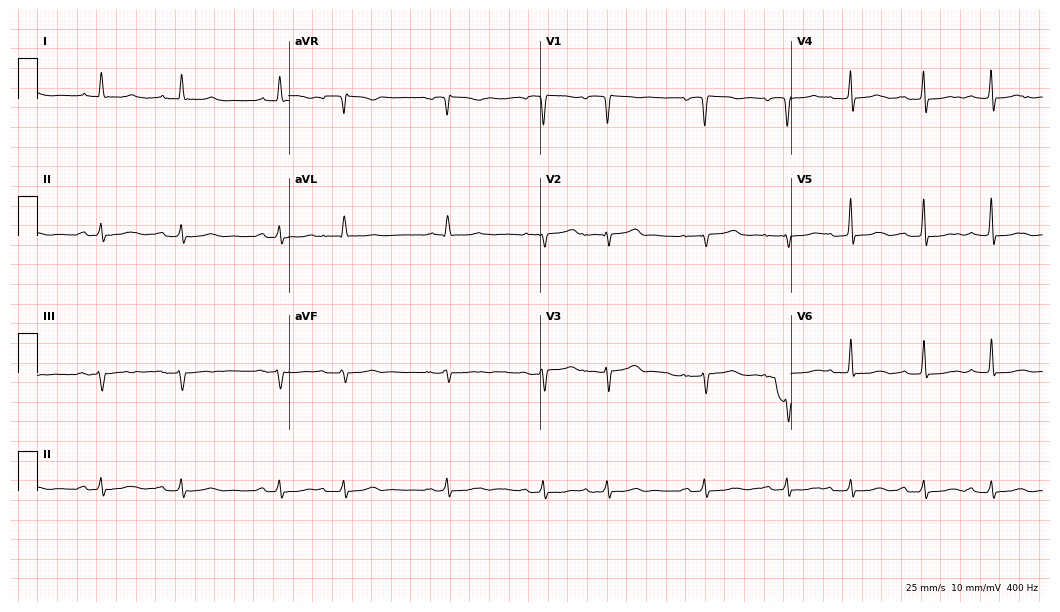
ECG (10.2-second recording at 400 Hz) — a male, 82 years old. Findings include first-degree AV block.